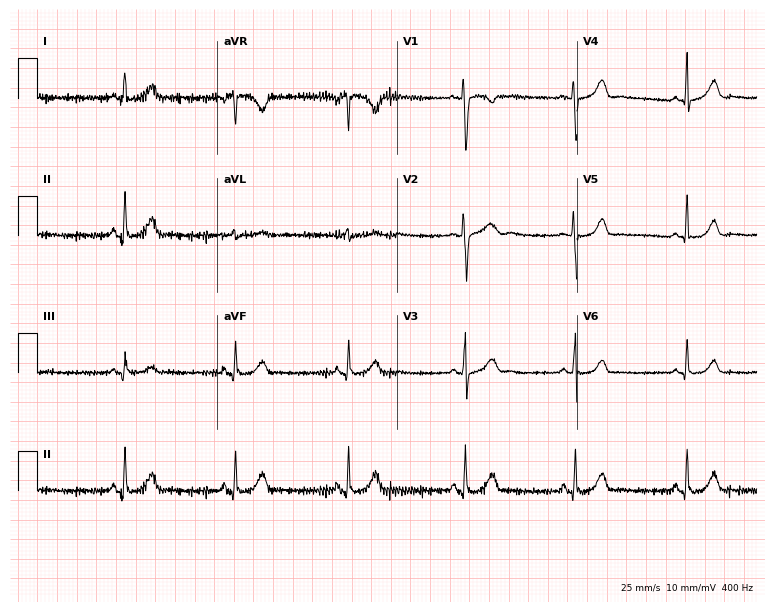
12-lead ECG from a 28-year-old female patient. Recorded interpretation: within normal limits.